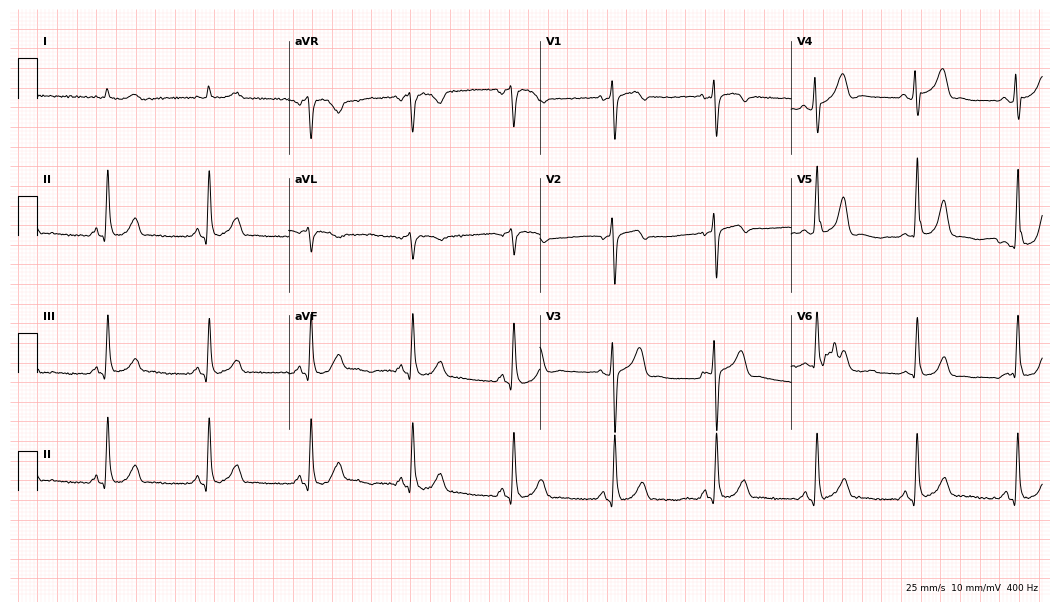
12-lead ECG from a 72-year-old male (10.2-second recording at 400 Hz). No first-degree AV block, right bundle branch block (RBBB), left bundle branch block (LBBB), sinus bradycardia, atrial fibrillation (AF) or sinus tachycardia recorded for this tracing.